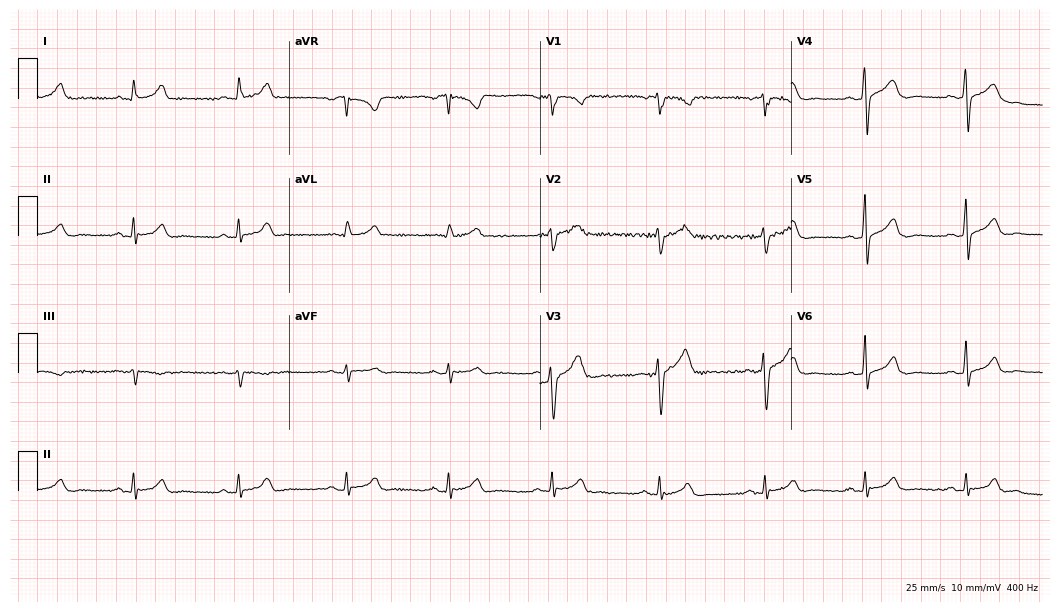
Standard 12-lead ECG recorded from a 32-year-old man (10.2-second recording at 400 Hz). Read as a normal ECG.